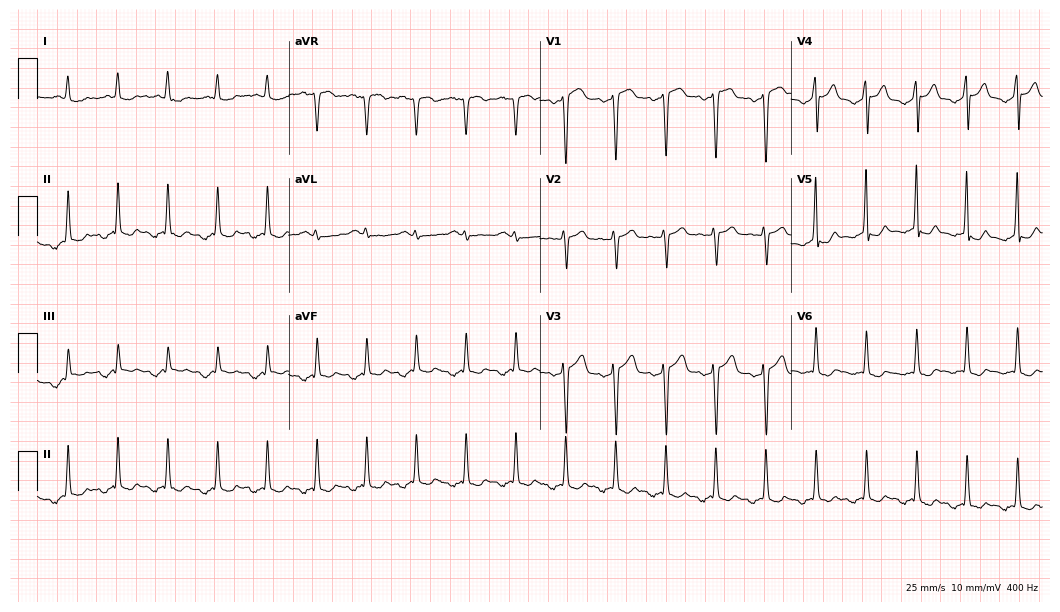
12-lead ECG from a female, 52 years old. Screened for six findings — first-degree AV block, right bundle branch block (RBBB), left bundle branch block (LBBB), sinus bradycardia, atrial fibrillation (AF), sinus tachycardia — none is recorded. Findings outside these six are not listed.